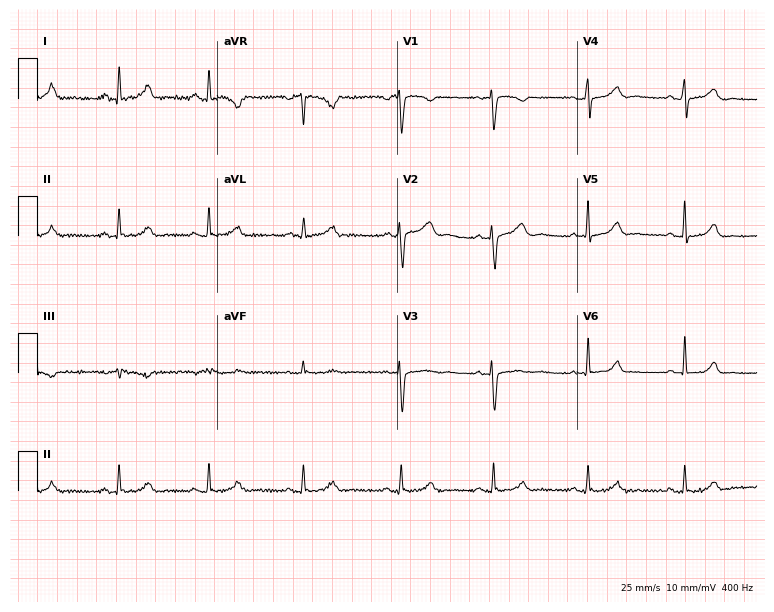
Standard 12-lead ECG recorded from a female, 40 years old. Read as a normal ECG.